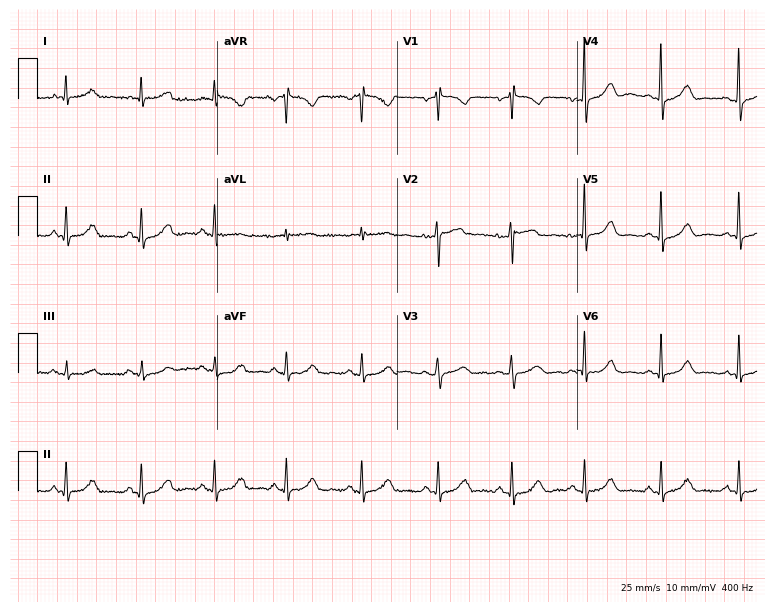
ECG — a female patient, 61 years old. Screened for six findings — first-degree AV block, right bundle branch block (RBBB), left bundle branch block (LBBB), sinus bradycardia, atrial fibrillation (AF), sinus tachycardia — none is recorded. Findings outside these six are not listed.